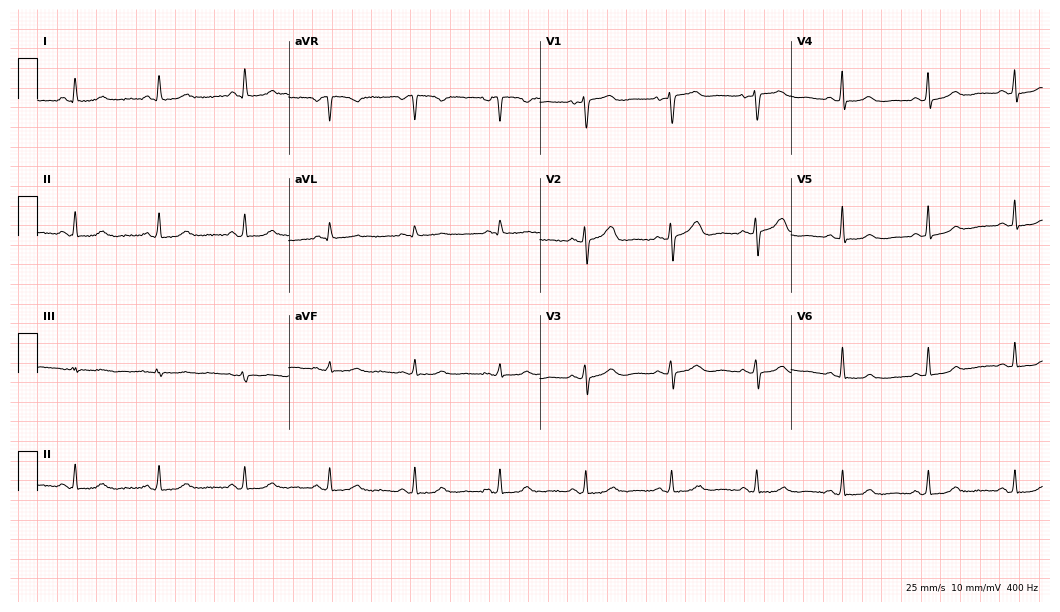
Electrocardiogram, a woman, 68 years old. Of the six screened findings (first-degree AV block, right bundle branch block, left bundle branch block, sinus bradycardia, atrial fibrillation, sinus tachycardia), none is recorded. Findings outside these six are not listed.